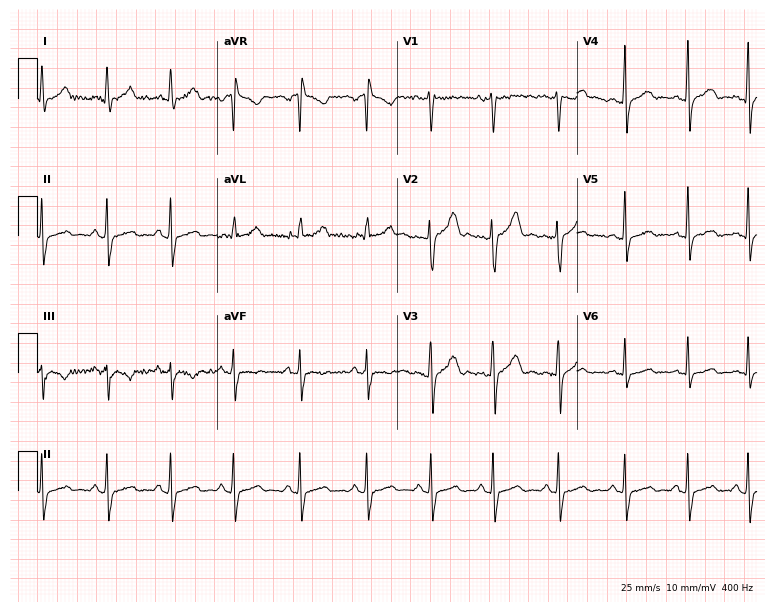
Standard 12-lead ECG recorded from a man, 27 years old. Read as a normal ECG.